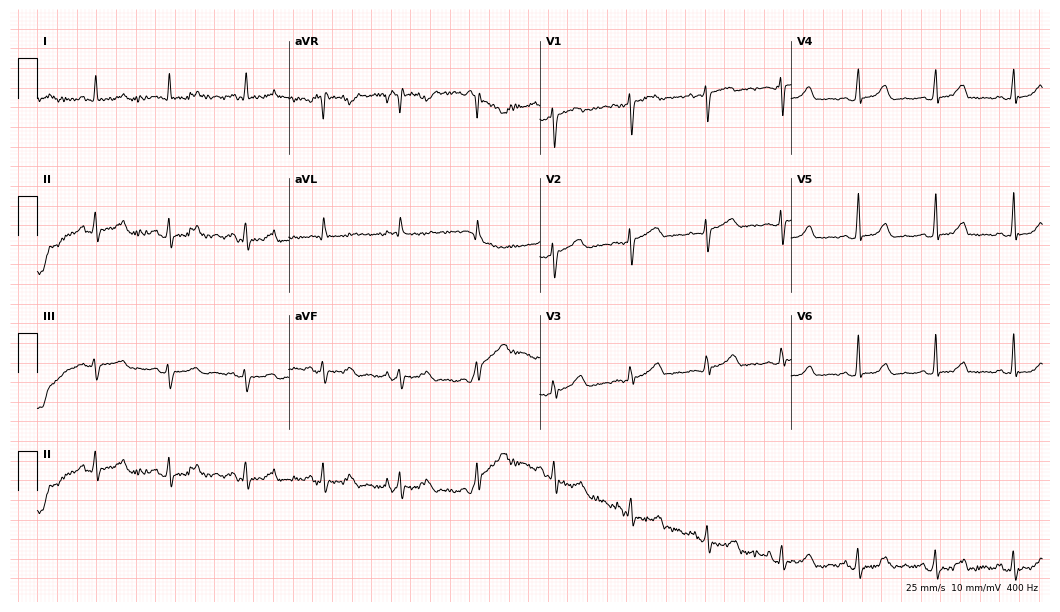
Resting 12-lead electrocardiogram (10.2-second recording at 400 Hz). Patient: a female, 40 years old. None of these six findings is recorded: first-degree AV block, right bundle branch block, left bundle branch block, sinus bradycardia, atrial fibrillation, sinus tachycardia.